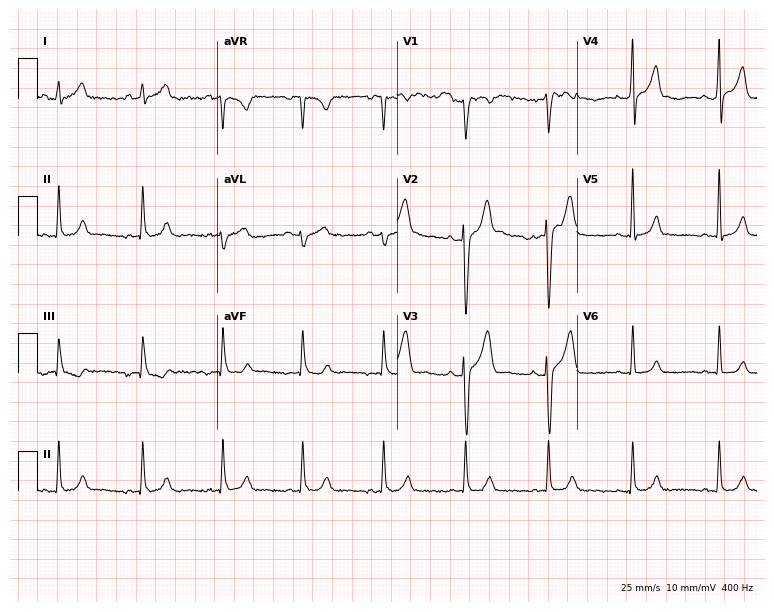
12-lead ECG (7.3-second recording at 400 Hz) from a 38-year-old male. Labelled as a normal ECG.